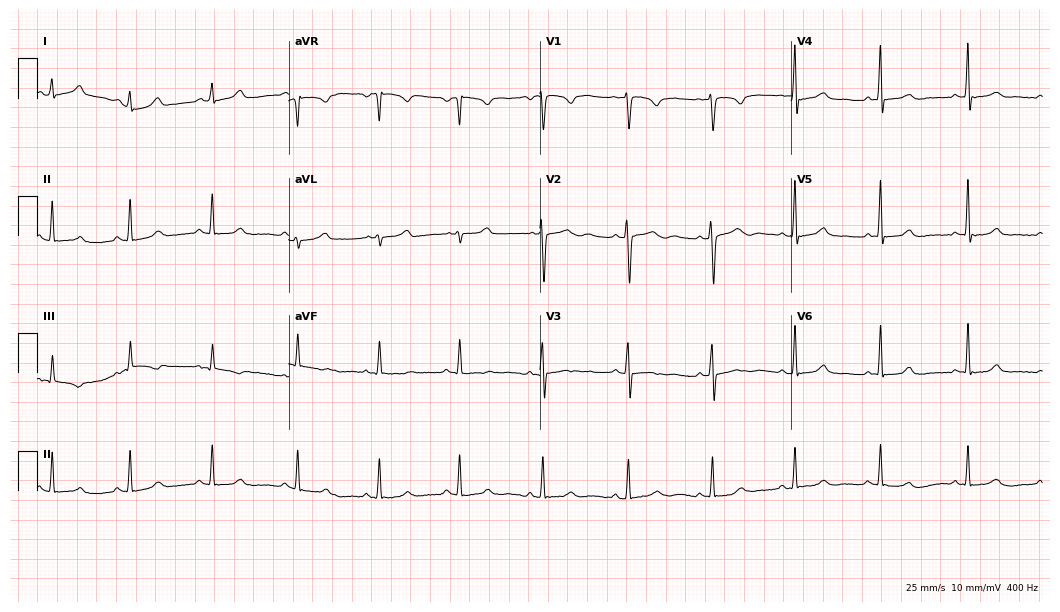
ECG (10.2-second recording at 400 Hz) — a 27-year-old female patient. Labelled as a normal ECG.